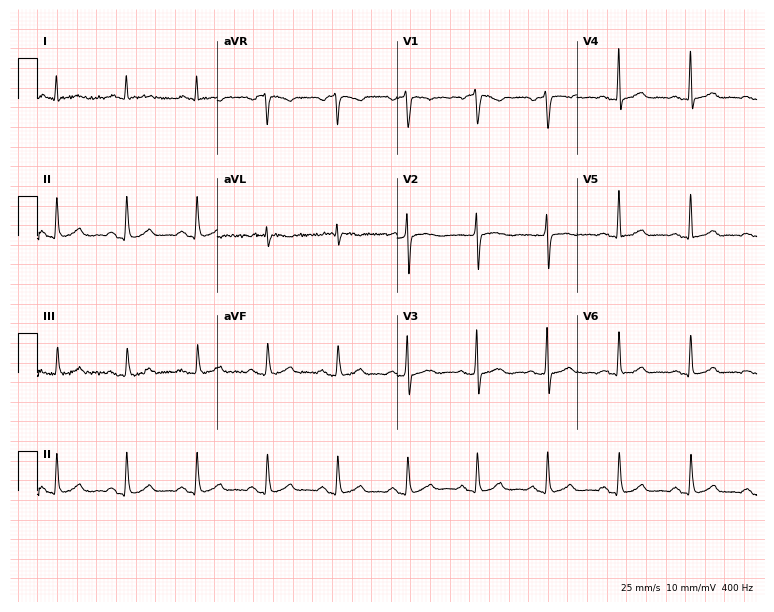
12-lead ECG from a male, 61 years old (7.3-second recording at 400 Hz). Recorded interpretation: within normal limits.